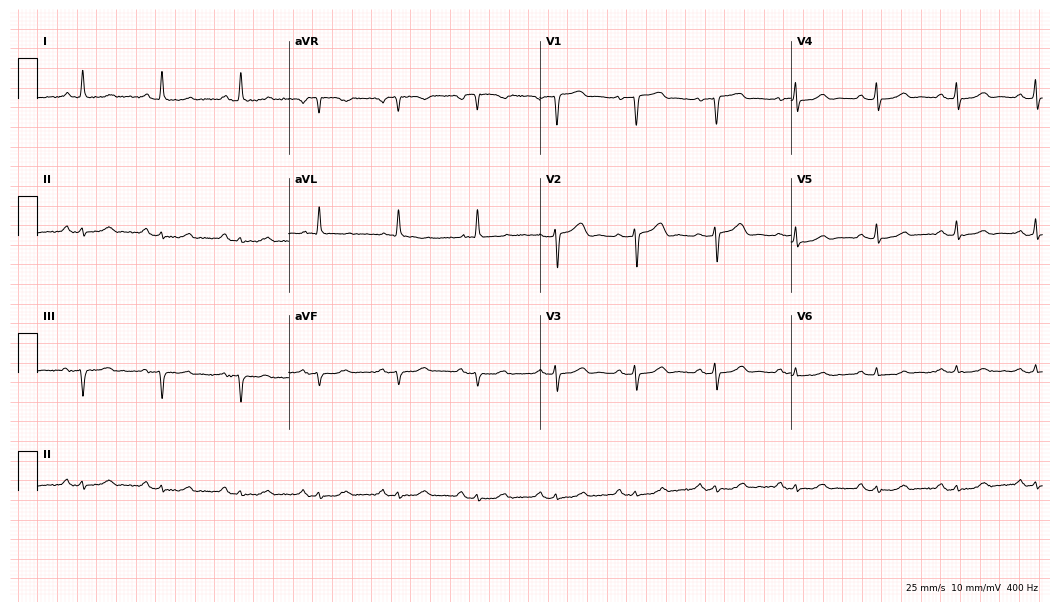
Resting 12-lead electrocardiogram (10.2-second recording at 400 Hz). Patient: a 60-year-old woman. Read as a normal ECG.